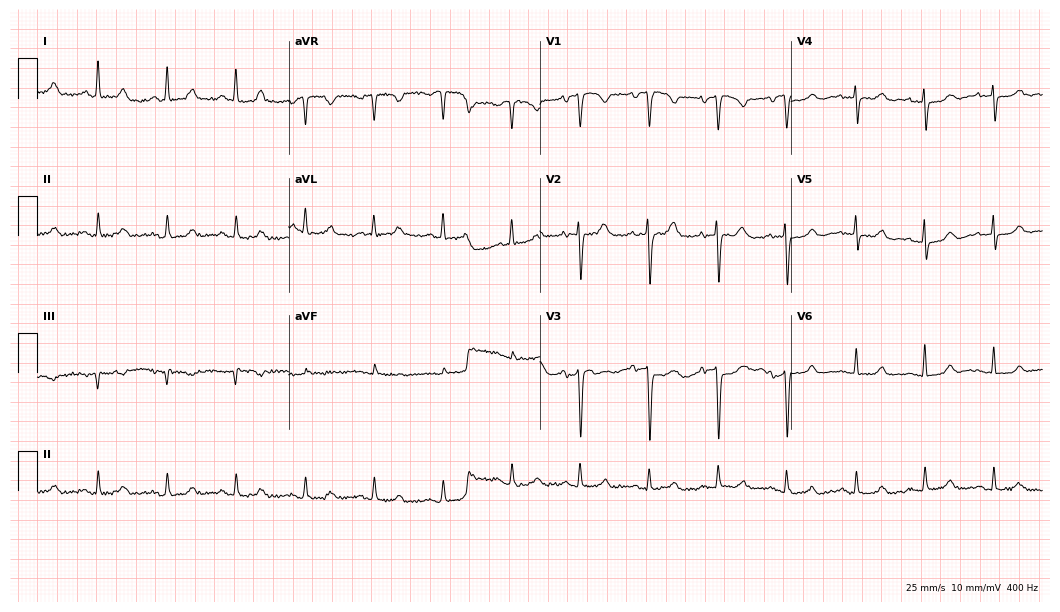
ECG (10.2-second recording at 400 Hz) — a female, 85 years old. Labelled as a normal ECG.